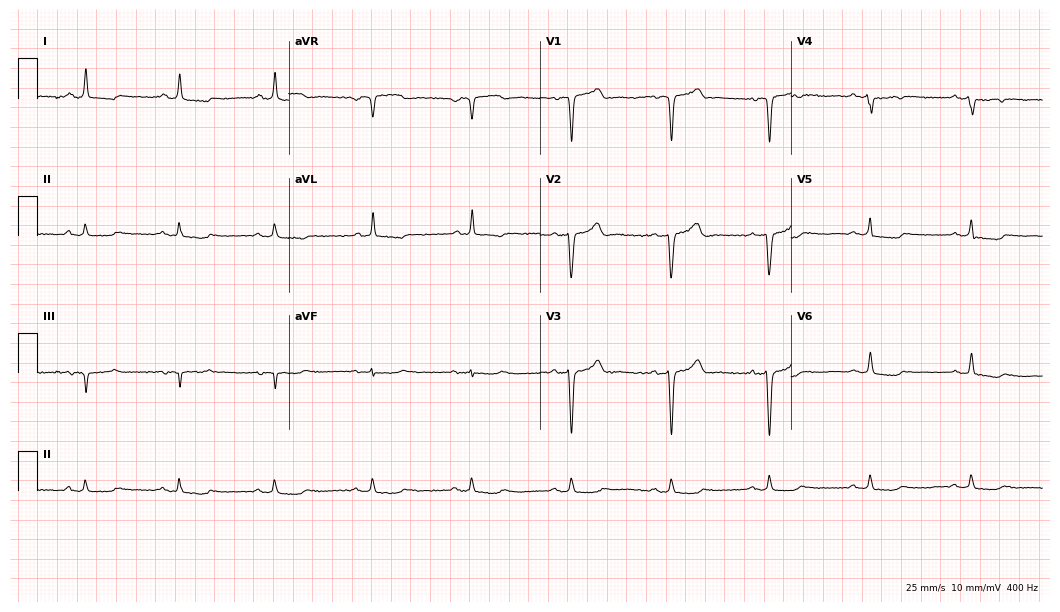
12-lead ECG from a male, 84 years old. Recorded interpretation: within normal limits.